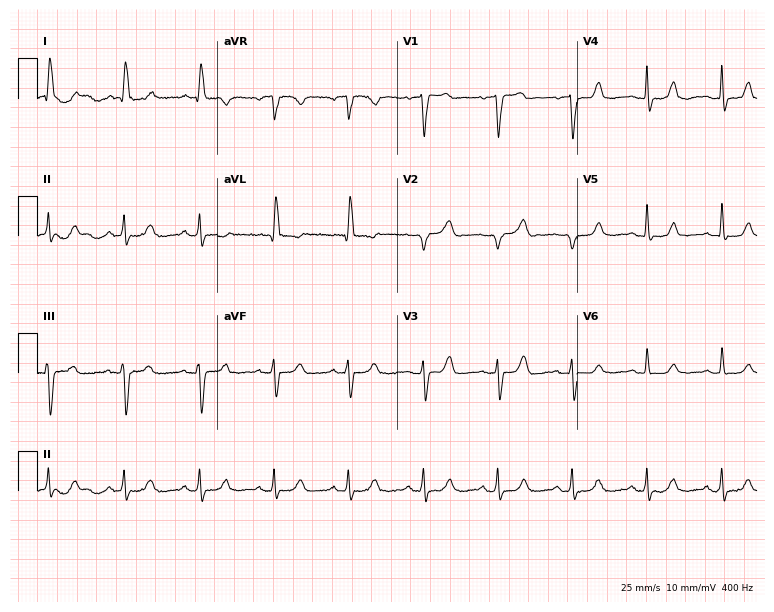
12-lead ECG (7.3-second recording at 400 Hz) from an 85-year-old woman. Screened for six findings — first-degree AV block, right bundle branch block, left bundle branch block, sinus bradycardia, atrial fibrillation, sinus tachycardia — none is recorded.